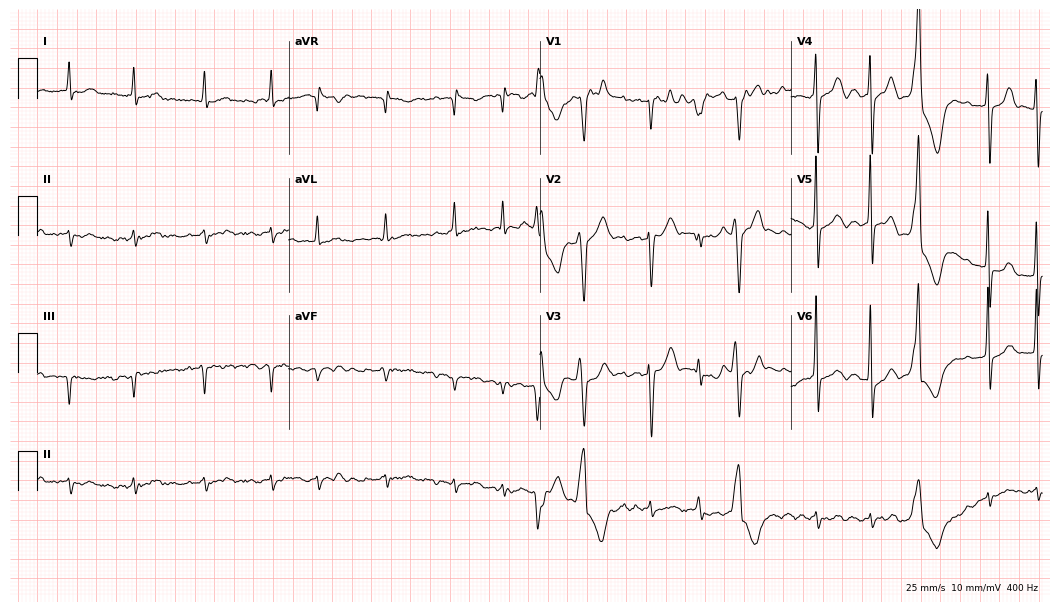
12-lead ECG from a male, 84 years old. No first-degree AV block, right bundle branch block (RBBB), left bundle branch block (LBBB), sinus bradycardia, atrial fibrillation (AF) or sinus tachycardia recorded for this tracing.